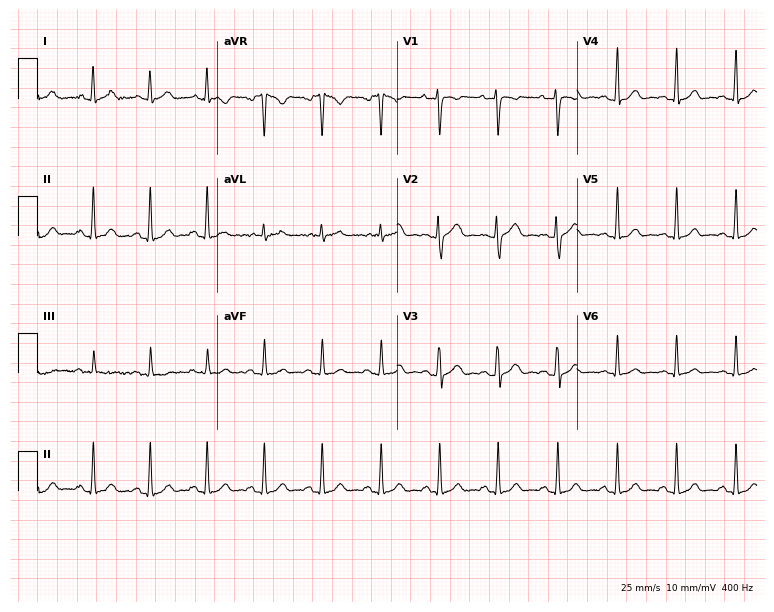
12-lead ECG (7.3-second recording at 400 Hz) from a woman, 28 years old. Findings include sinus tachycardia (a sinus rate of 100 beats per minute or more).